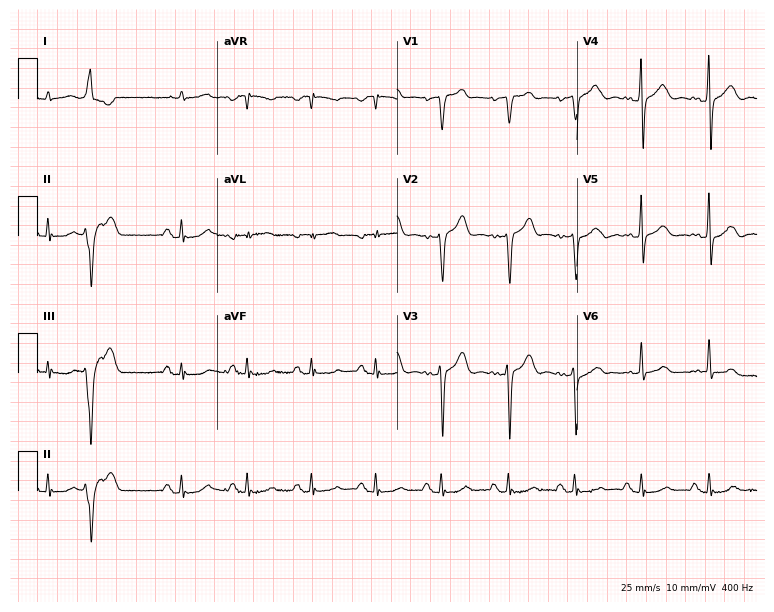
Standard 12-lead ECG recorded from a 73-year-old male patient (7.3-second recording at 400 Hz). Read as a normal ECG.